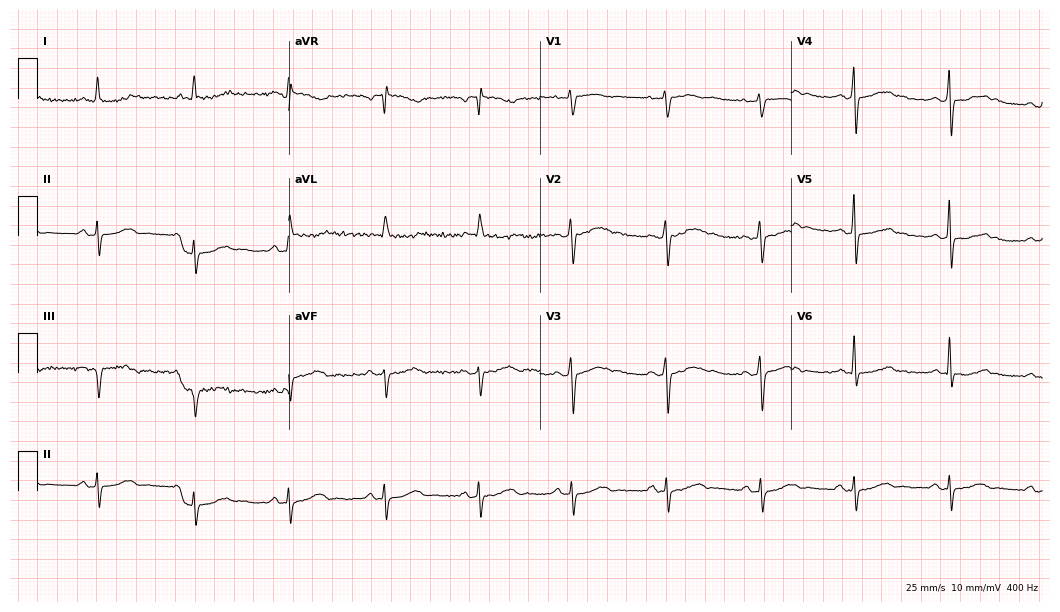
ECG — a 53-year-old female patient. Screened for six findings — first-degree AV block, right bundle branch block, left bundle branch block, sinus bradycardia, atrial fibrillation, sinus tachycardia — none is recorded. Other findings, if any, are not listed.